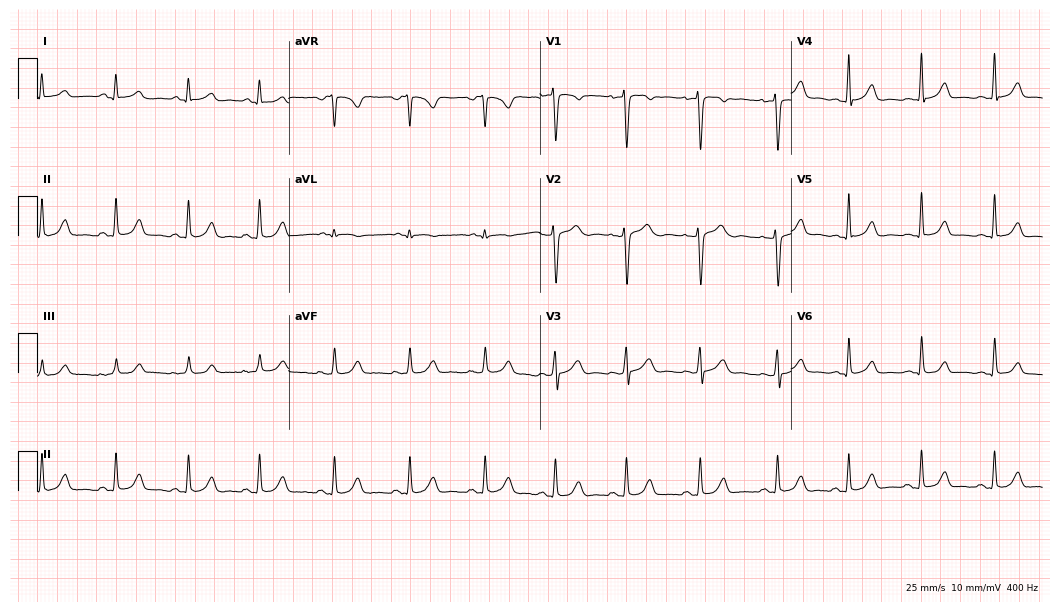
12-lead ECG from a woman, 24 years old. No first-degree AV block, right bundle branch block (RBBB), left bundle branch block (LBBB), sinus bradycardia, atrial fibrillation (AF) or sinus tachycardia recorded for this tracing. Other findings, if any, are not listed.